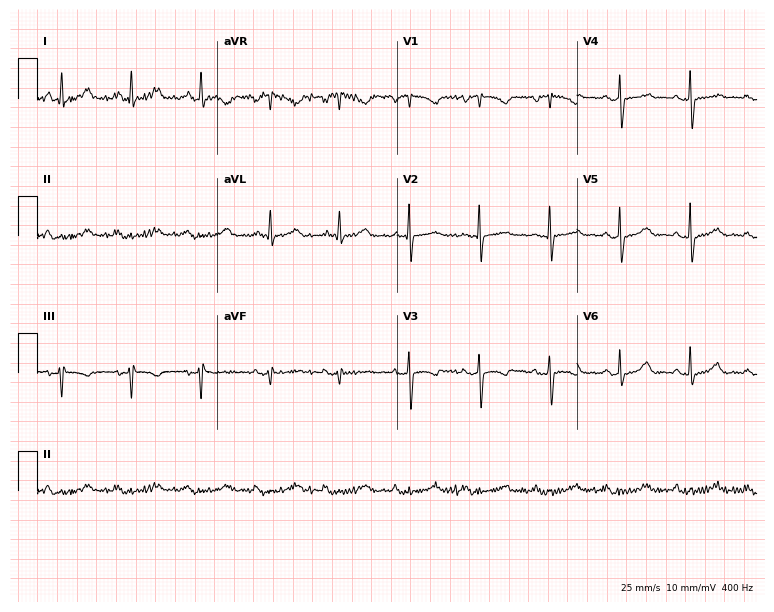
Resting 12-lead electrocardiogram (7.3-second recording at 400 Hz). Patient: a woman, 74 years old. None of these six findings is recorded: first-degree AV block, right bundle branch block, left bundle branch block, sinus bradycardia, atrial fibrillation, sinus tachycardia. Other findings, if any, are not listed.